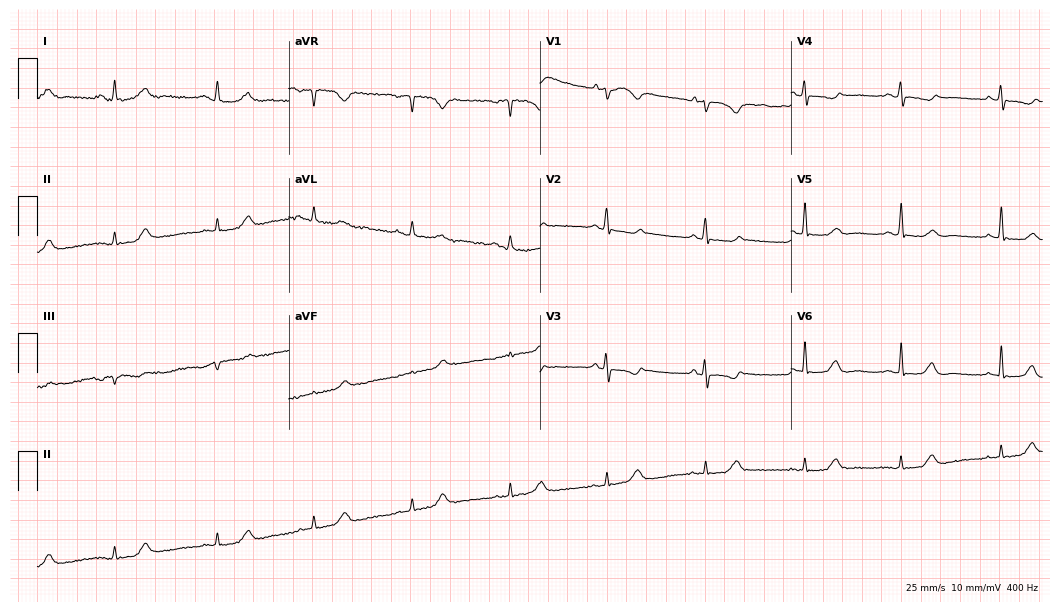
Electrocardiogram, a 39-year-old female patient. Of the six screened findings (first-degree AV block, right bundle branch block, left bundle branch block, sinus bradycardia, atrial fibrillation, sinus tachycardia), none is recorded.